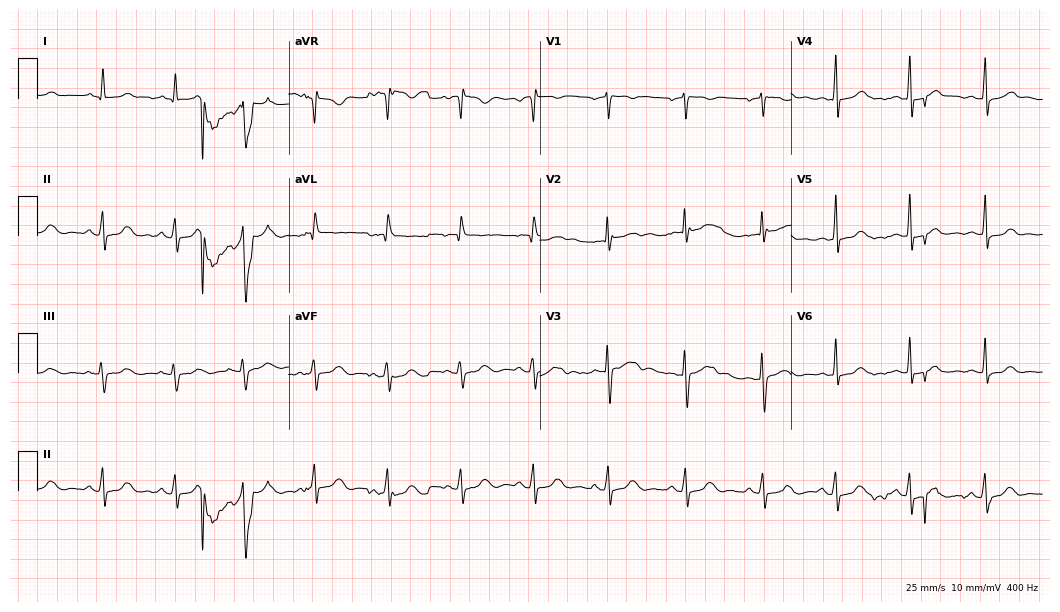
12-lead ECG from a 33-year-old female patient (10.2-second recording at 400 Hz). Recorded interpretation: within normal limits.